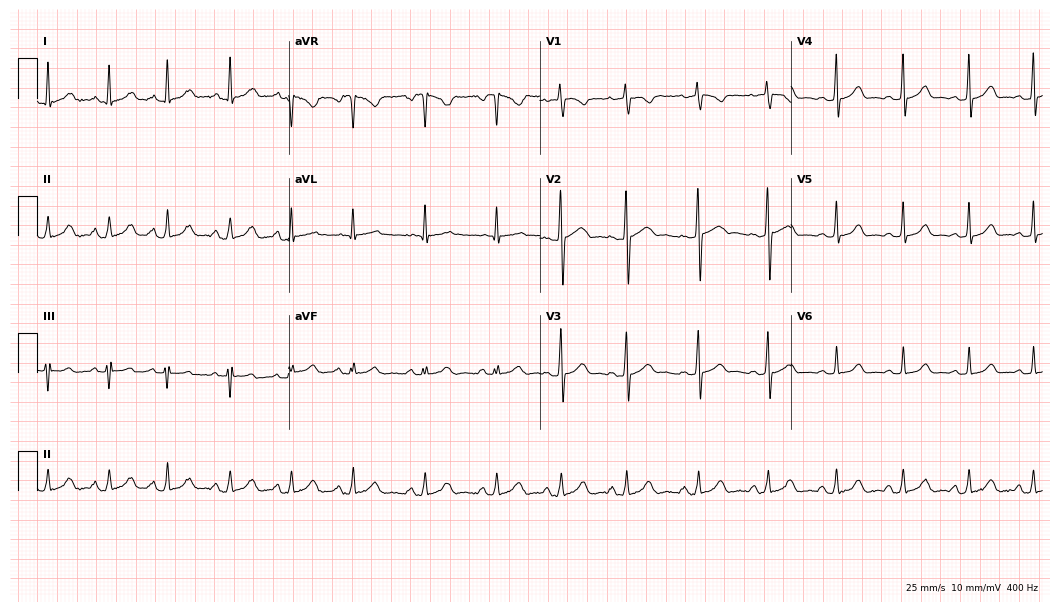
ECG — a 20-year-old female patient. Labelled as a normal ECG.